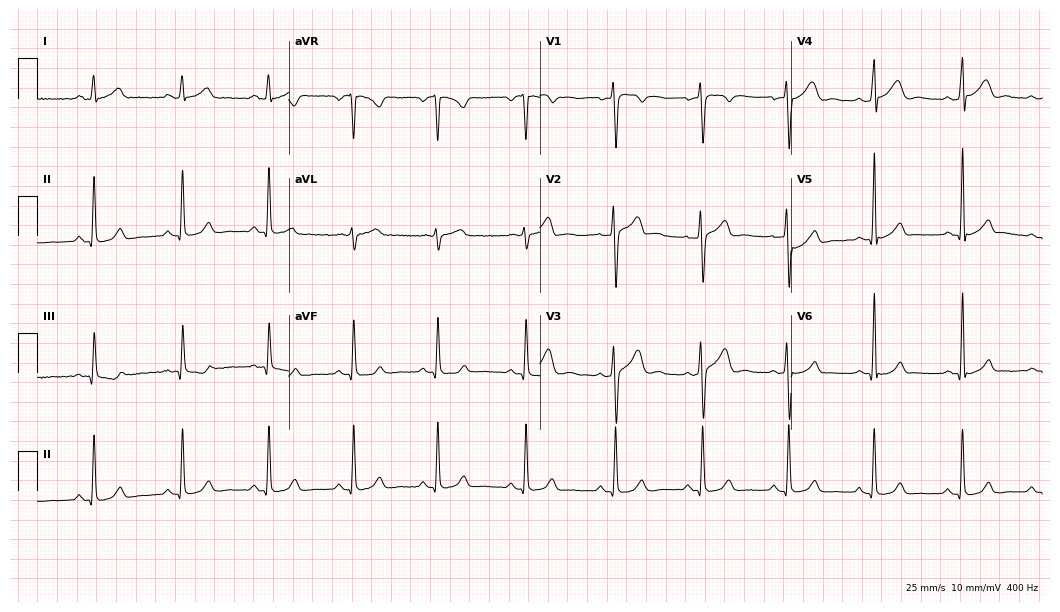
ECG — a 26-year-old man. Labelled as a normal ECG.